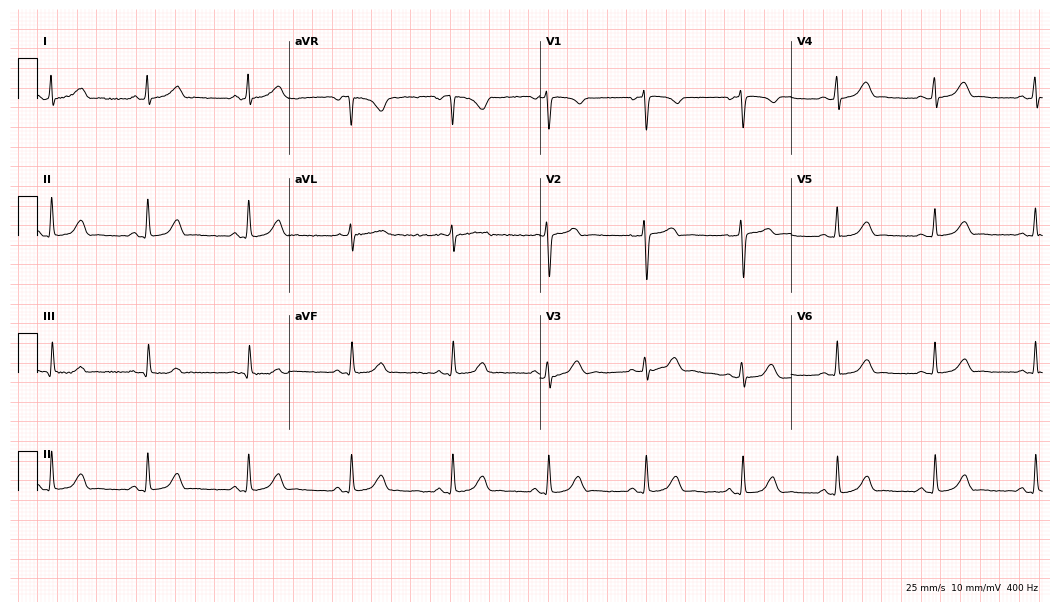
12-lead ECG from a woman, 41 years old (10.2-second recording at 400 Hz). Recorded interpretation: within normal limits.